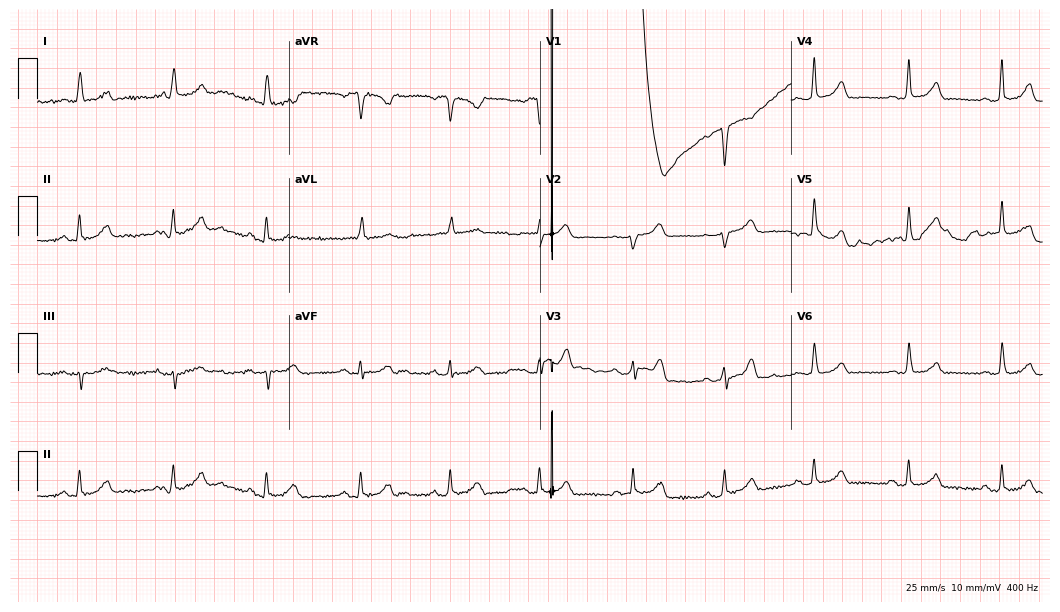
Electrocardiogram (10.2-second recording at 400 Hz), a female, 68 years old. Overall reading on record: normal ECG.